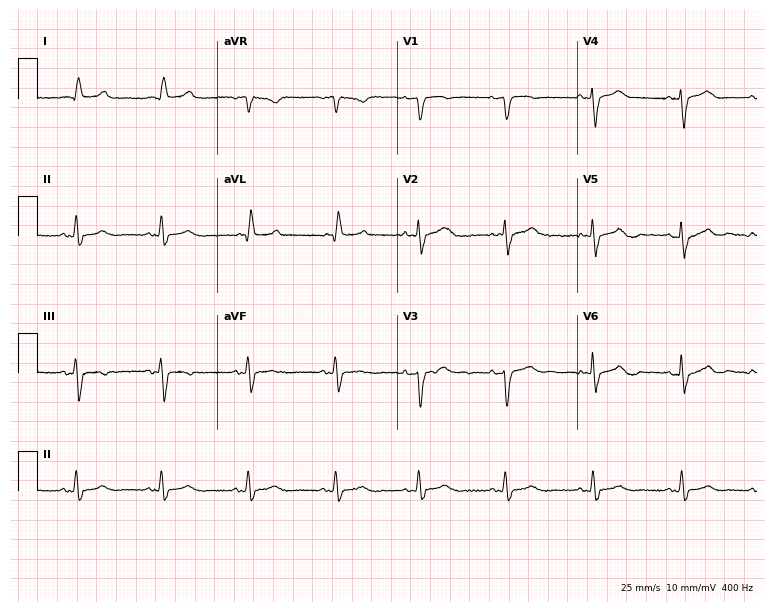
12-lead ECG (7.3-second recording at 400 Hz) from an 86-year-old female. Screened for six findings — first-degree AV block, right bundle branch block, left bundle branch block, sinus bradycardia, atrial fibrillation, sinus tachycardia — none is recorded.